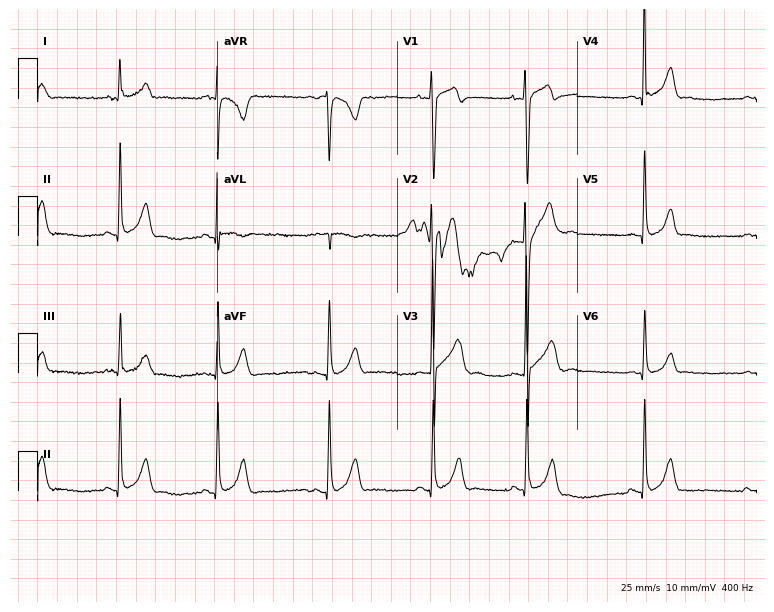
Electrocardiogram, a male, 20 years old. Of the six screened findings (first-degree AV block, right bundle branch block, left bundle branch block, sinus bradycardia, atrial fibrillation, sinus tachycardia), none is recorded. Only these six findings were labelled.